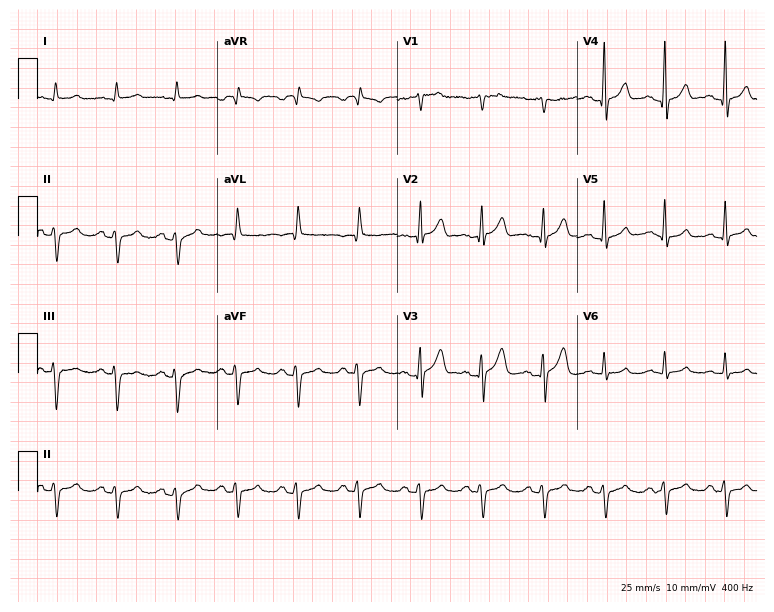
ECG (7.3-second recording at 400 Hz) — a male patient, 69 years old. Screened for six findings — first-degree AV block, right bundle branch block (RBBB), left bundle branch block (LBBB), sinus bradycardia, atrial fibrillation (AF), sinus tachycardia — none is recorded. Findings outside these six are not listed.